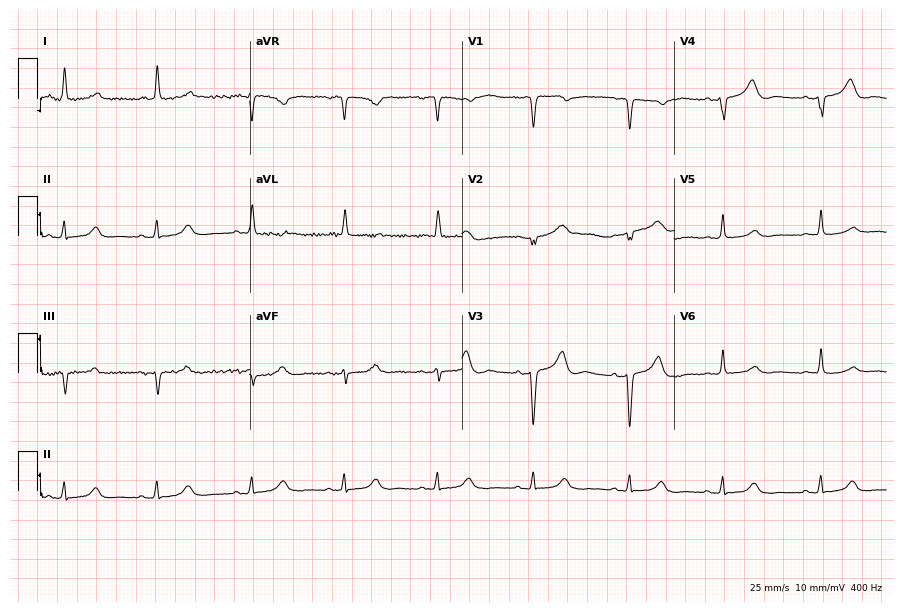
Resting 12-lead electrocardiogram (8.7-second recording at 400 Hz). Patient: a woman, 82 years old. None of these six findings is recorded: first-degree AV block, right bundle branch block, left bundle branch block, sinus bradycardia, atrial fibrillation, sinus tachycardia. Findings outside these six are not listed.